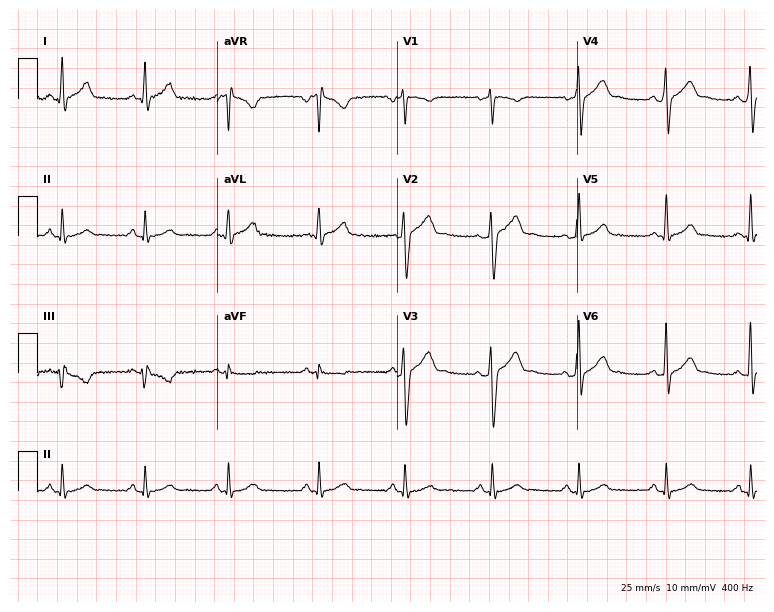
ECG (7.3-second recording at 400 Hz) — a 34-year-old male. Screened for six findings — first-degree AV block, right bundle branch block, left bundle branch block, sinus bradycardia, atrial fibrillation, sinus tachycardia — none is recorded. Only these six findings were labelled.